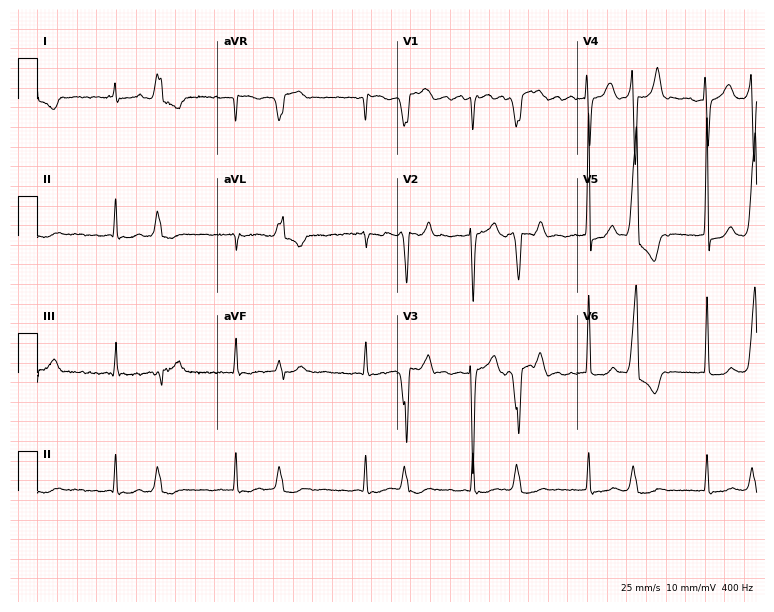
12-lead ECG from a 77-year-old male patient. Findings include atrial fibrillation (AF).